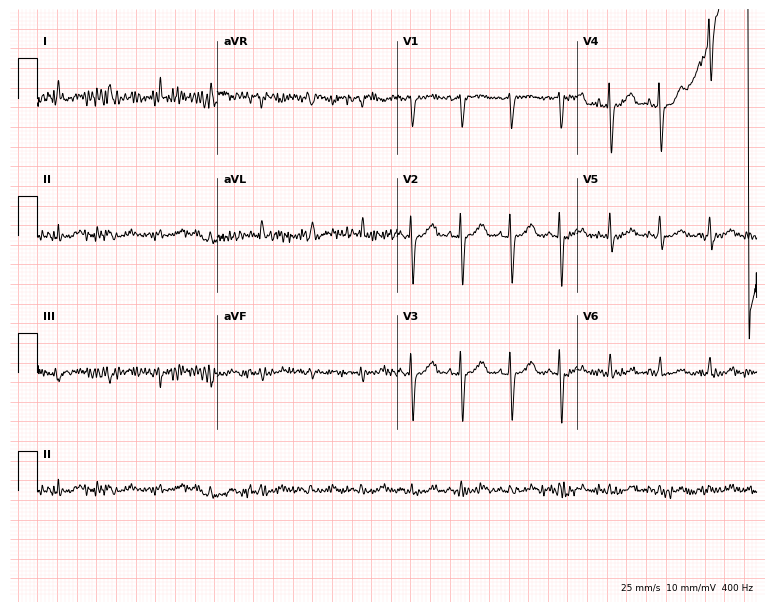
ECG (7.3-second recording at 400 Hz) — a woman, 78 years old. Screened for six findings — first-degree AV block, right bundle branch block, left bundle branch block, sinus bradycardia, atrial fibrillation, sinus tachycardia — none is recorded. Other findings, if any, are not listed.